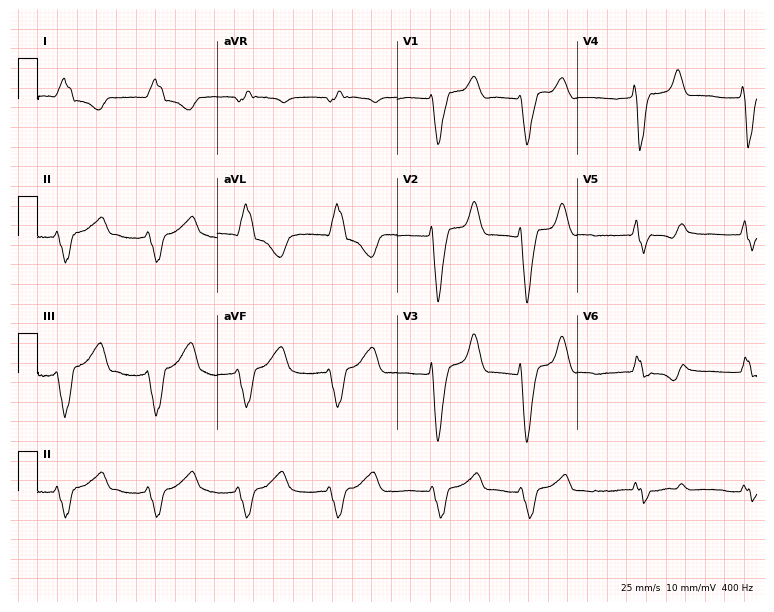
12-lead ECG from a 77-year-old female patient. No first-degree AV block, right bundle branch block, left bundle branch block, sinus bradycardia, atrial fibrillation or sinus tachycardia recorded for this tracing.